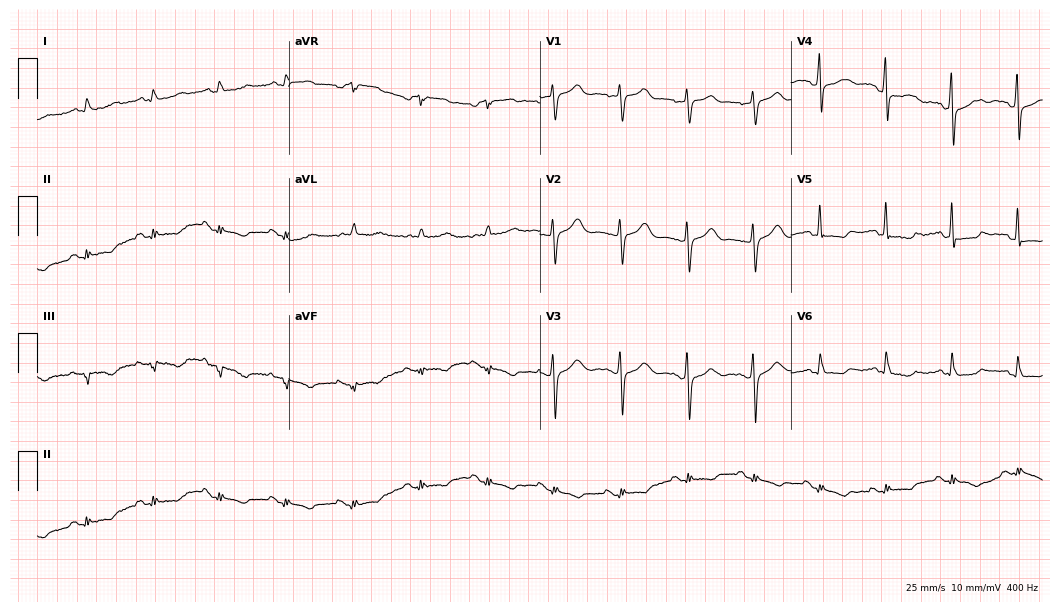
ECG — a man, 61 years old. Screened for six findings — first-degree AV block, right bundle branch block (RBBB), left bundle branch block (LBBB), sinus bradycardia, atrial fibrillation (AF), sinus tachycardia — none is recorded.